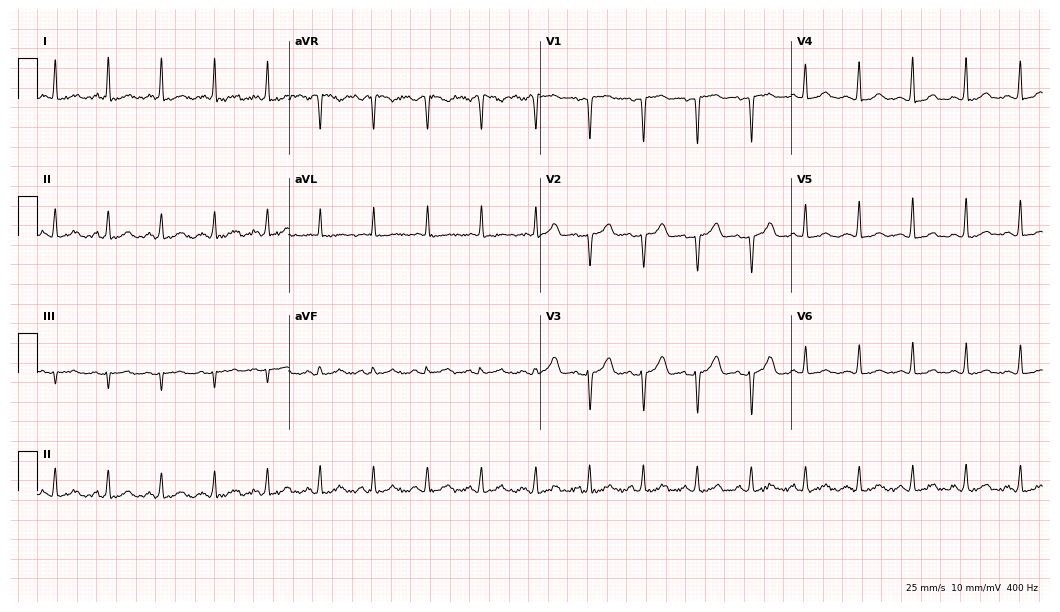
Resting 12-lead electrocardiogram. Patient: a 45-year-old female. The tracing shows sinus tachycardia (a sinus rate of 100 beats per minute or more).